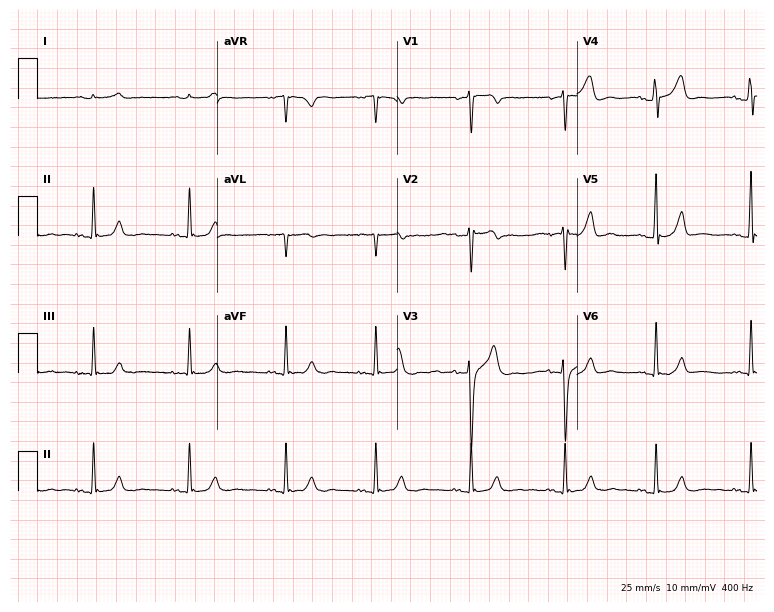
12-lead ECG from a man, 31 years old (7.3-second recording at 400 Hz). Recorded interpretation: within normal limits.